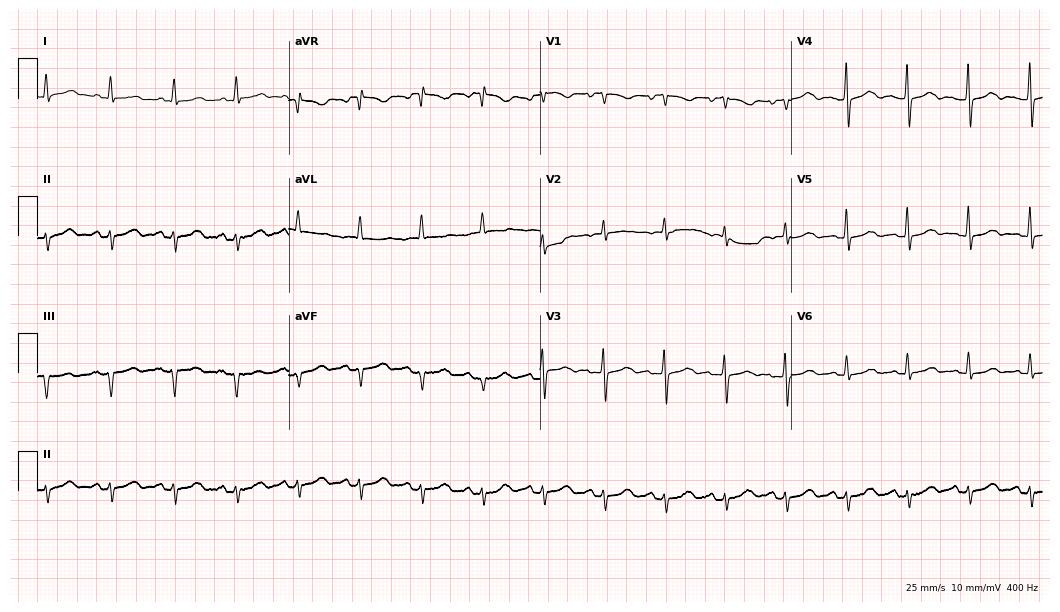
Standard 12-lead ECG recorded from a 34-year-old female patient (10.2-second recording at 400 Hz). None of these six findings is recorded: first-degree AV block, right bundle branch block, left bundle branch block, sinus bradycardia, atrial fibrillation, sinus tachycardia.